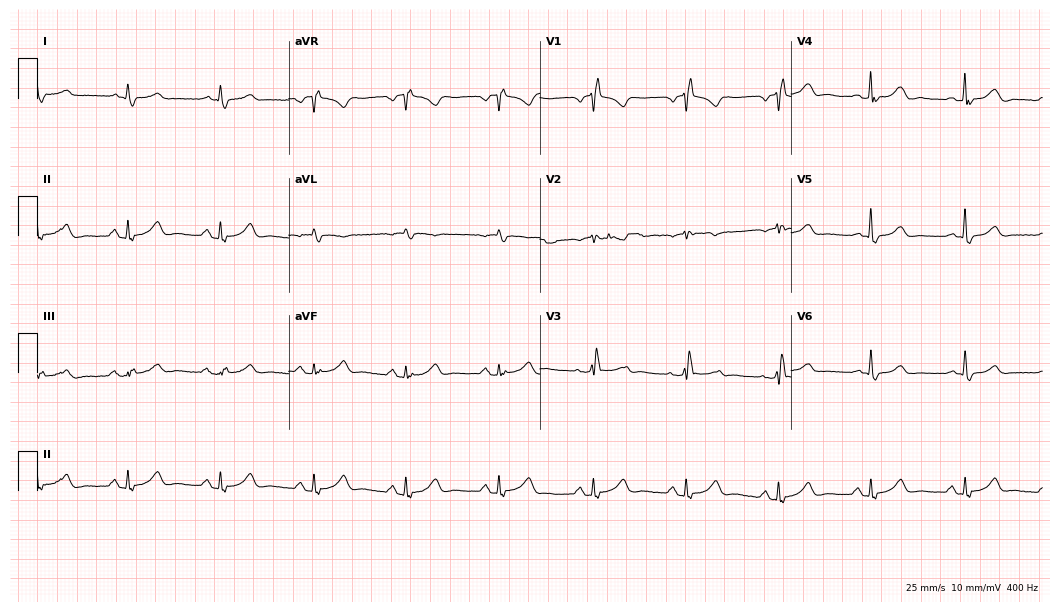
Resting 12-lead electrocardiogram. Patient: a woman, 79 years old. None of these six findings is recorded: first-degree AV block, right bundle branch block, left bundle branch block, sinus bradycardia, atrial fibrillation, sinus tachycardia.